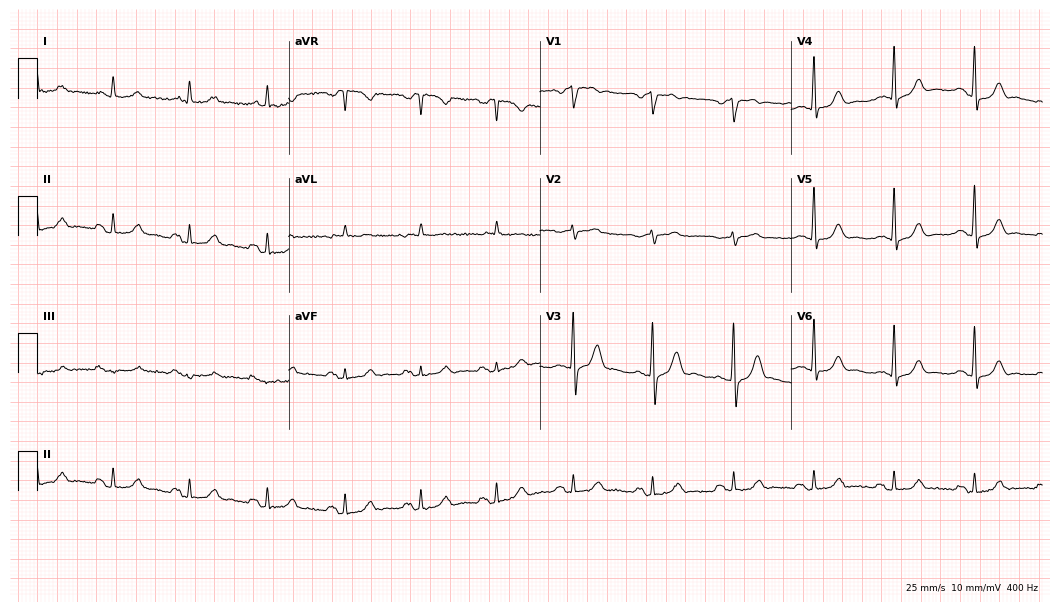
Electrocardiogram (10.2-second recording at 400 Hz), a male patient, 76 years old. Overall reading on record: normal ECG.